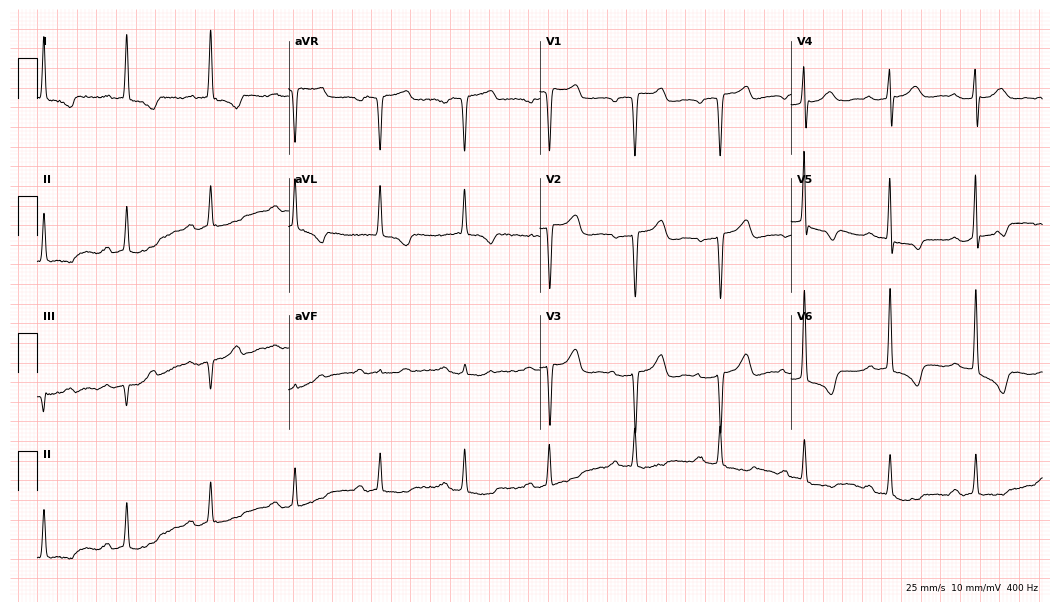
Standard 12-lead ECG recorded from a female patient, 84 years old (10.2-second recording at 400 Hz). None of these six findings is recorded: first-degree AV block, right bundle branch block, left bundle branch block, sinus bradycardia, atrial fibrillation, sinus tachycardia. Only these six findings were labelled.